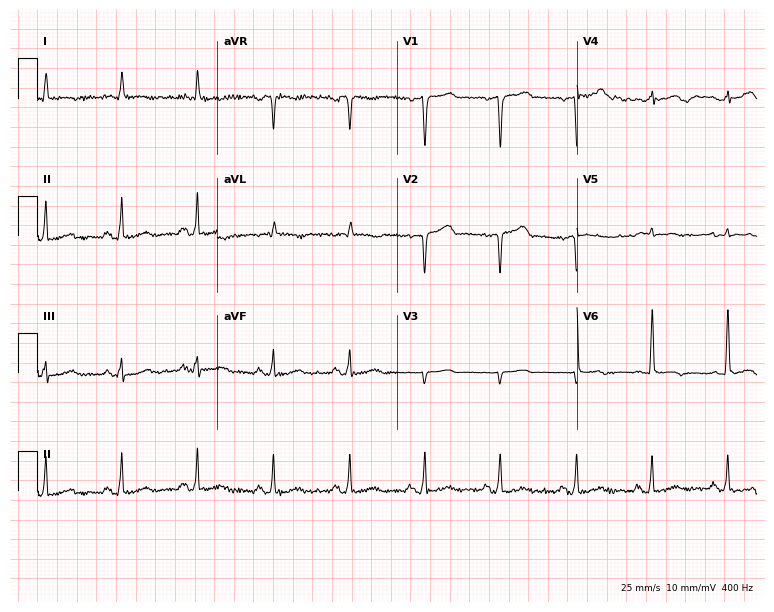
ECG (7.3-second recording at 400 Hz) — a male patient, 69 years old. Screened for six findings — first-degree AV block, right bundle branch block (RBBB), left bundle branch block (LBBB), sinus bradycardia, atrial fibrillation (AF), sinus tachycardia — none is recorded.